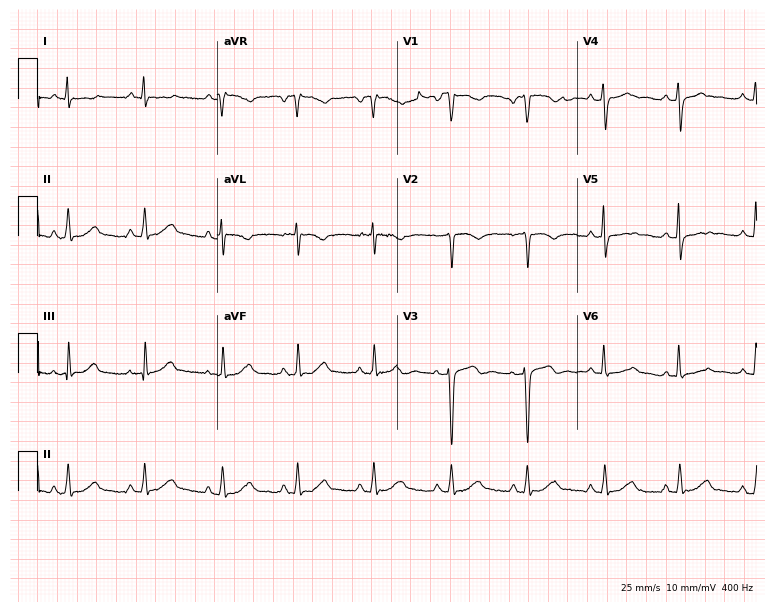
12-lead ECG from a female patient, 68 years old. Labelled as a normal ECG.